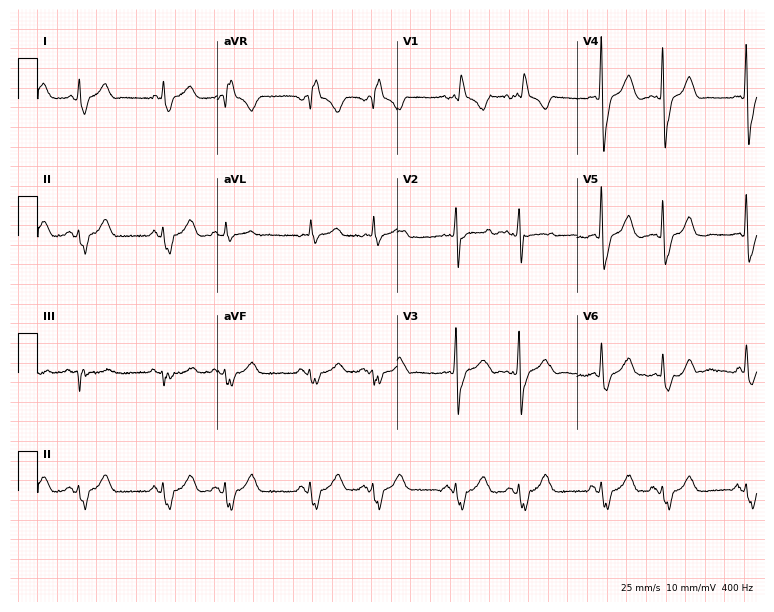
ECG — a female, 71 years old. Findings include right bundle branch block.